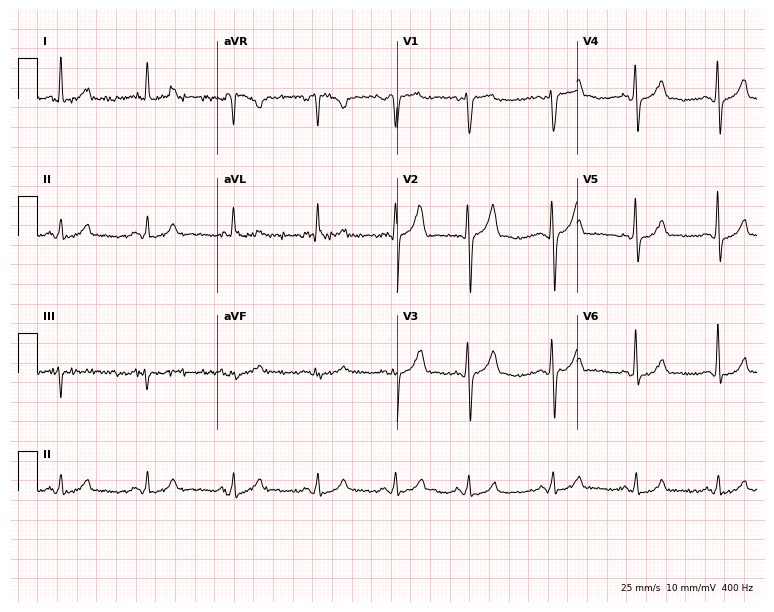
12-lead ECG from a male, 44 years old. Recorded interpretation: within normal limits.